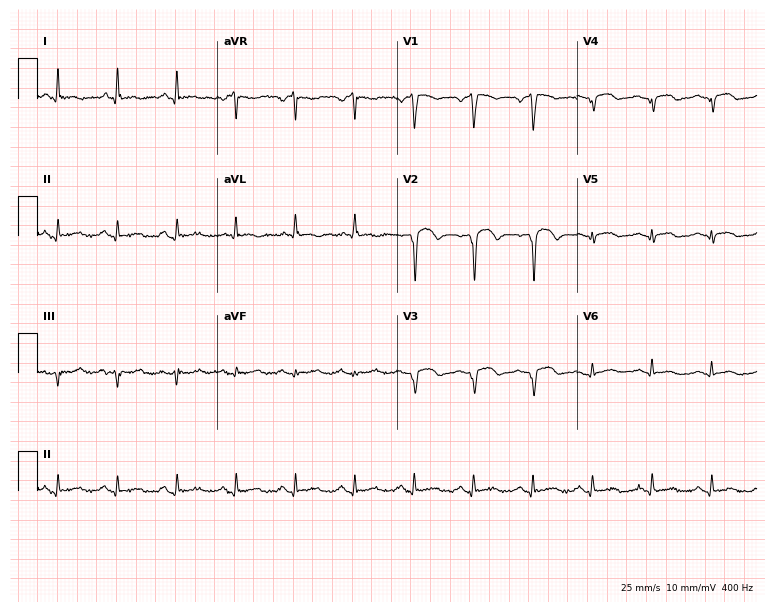
ECG (7.3-second recording at 400 Hz) — a male, 67 years old. Screened for six findings — first-degree AV block, right bundle branch block, left bundle branch block, sinus bradycardia, atrial fibrillation, sinus tachycardia — none is recorded.